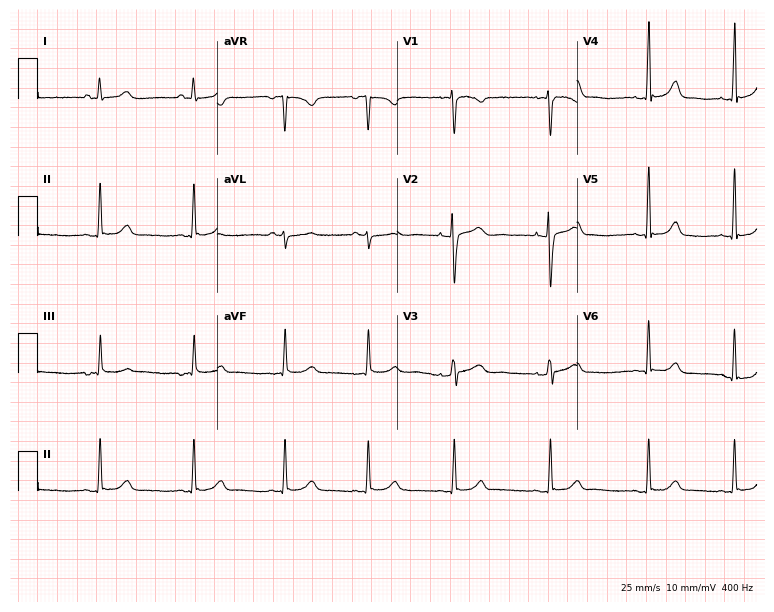
12-lead ECG from a female patient, 31 years old. Recorded interpretation: within normal limits.